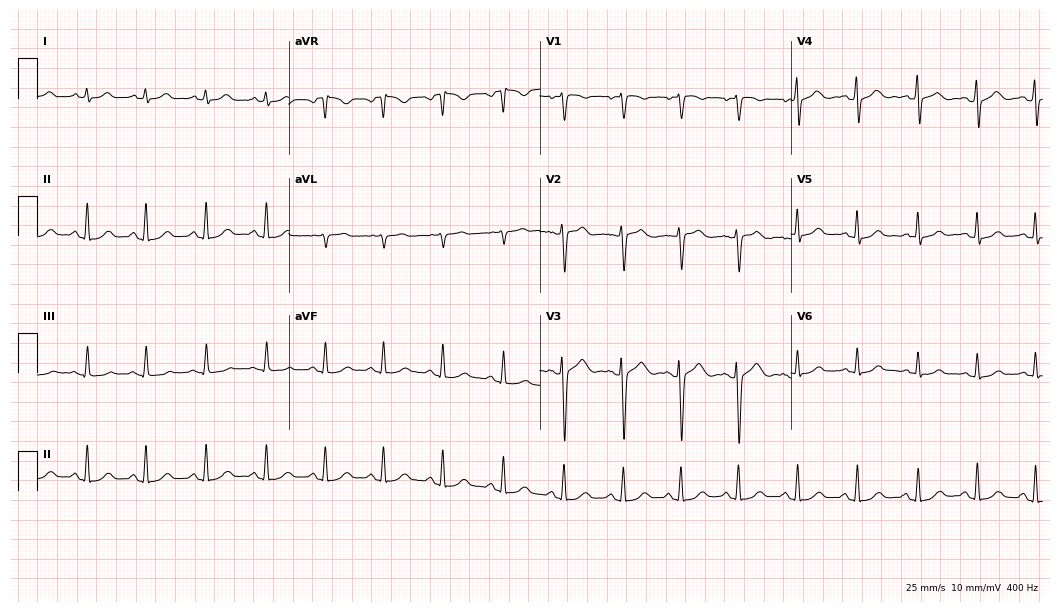
Standard 12-lead ECG recorded from a female, 39 years old. Read as a normal ECG.